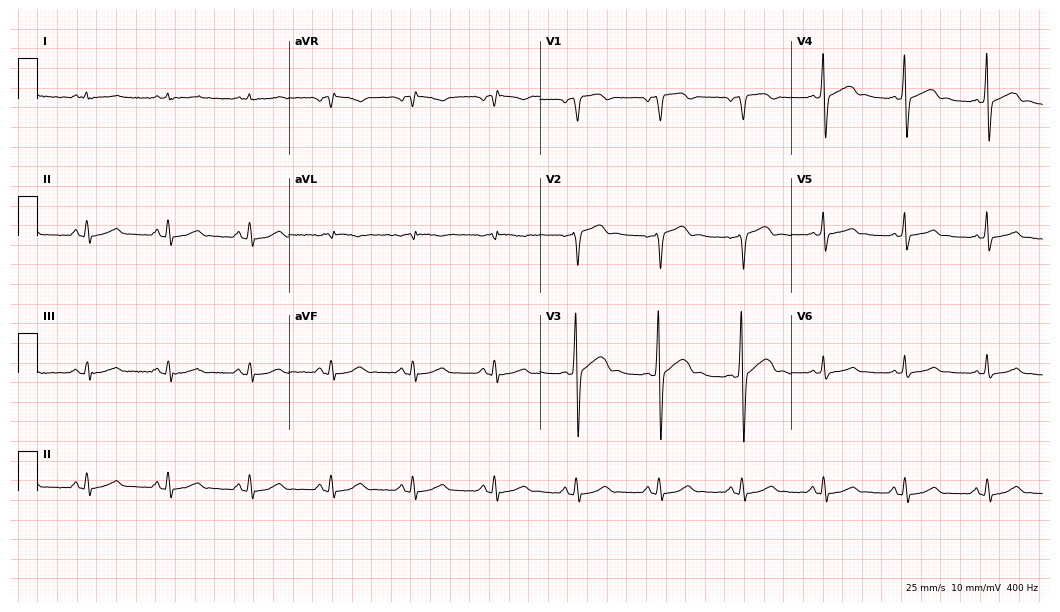
Resting 12-lead electrocardiogram. Patient: a 61-year-old male. Read as a normal ECG.